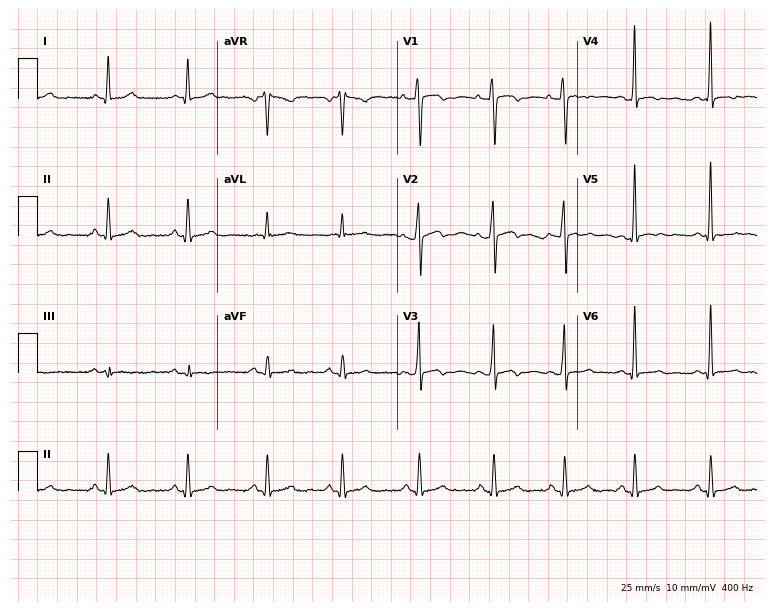
Electrocardiogram, a male, 49 years old. Overall reading on record: normal ECG.